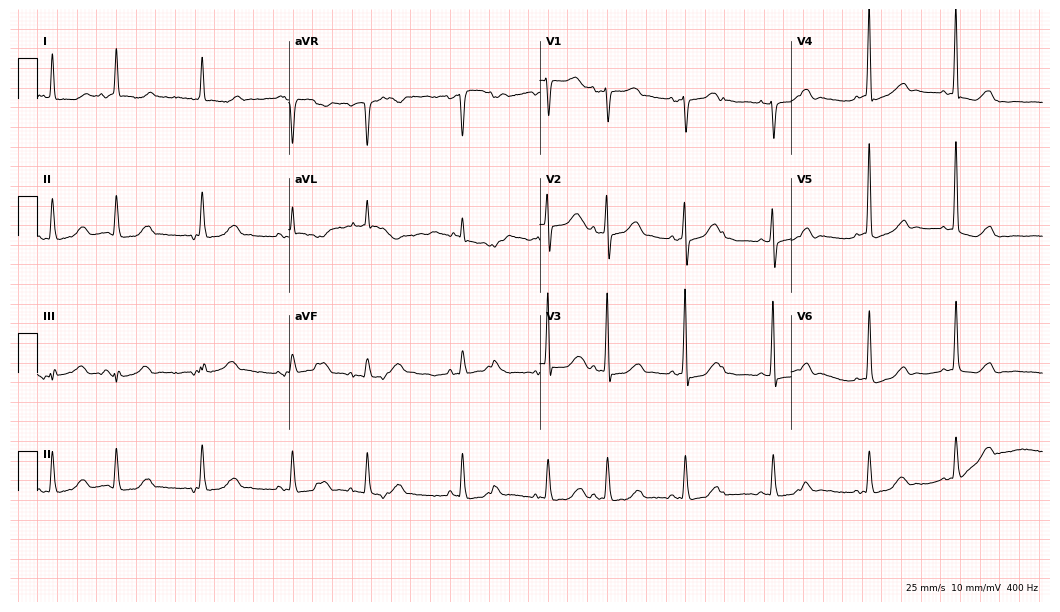
Resting 12-lead electrocardiogram. Patient: an 83-year-old woman. Read as a normal ECG.